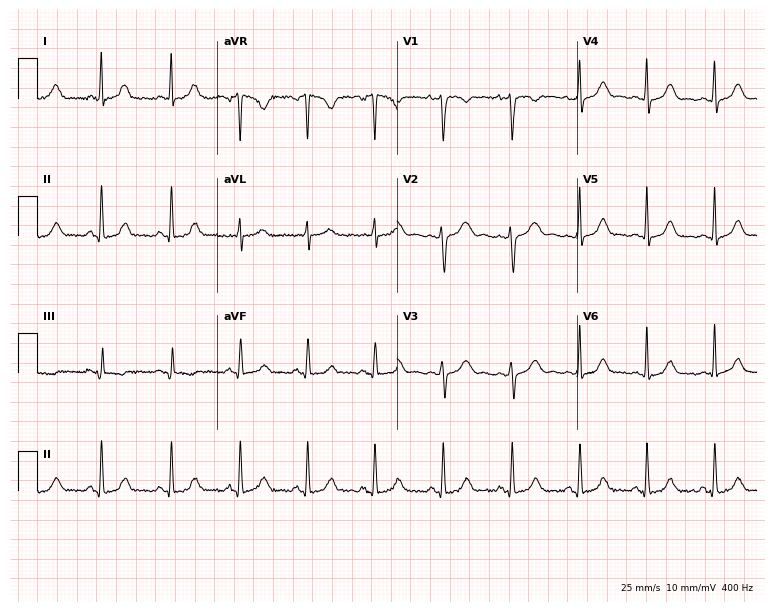
12-lead ECG from a female patient, 24 years old. No first-degree AV block, right bundle branch block, left bundle branch block, sinus bradycardia, atrial fibrillation or sinus tachycardia recorded for this tracing.